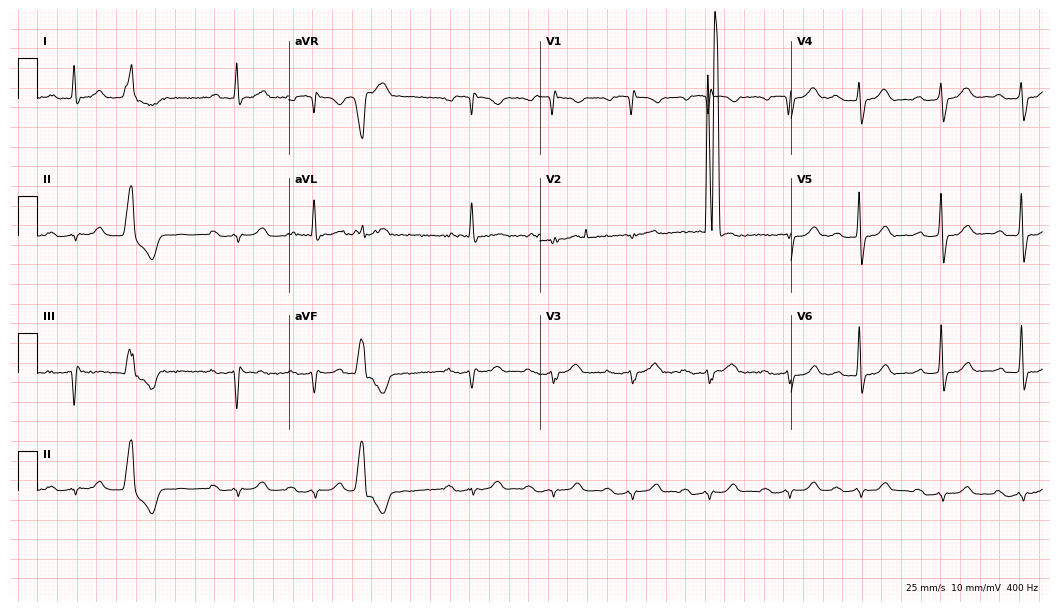
Standard 12-lead ECG recorded from an 85-year-old male (10.2-second recording at 400 Hz). The tracing shows first-degree AV block.